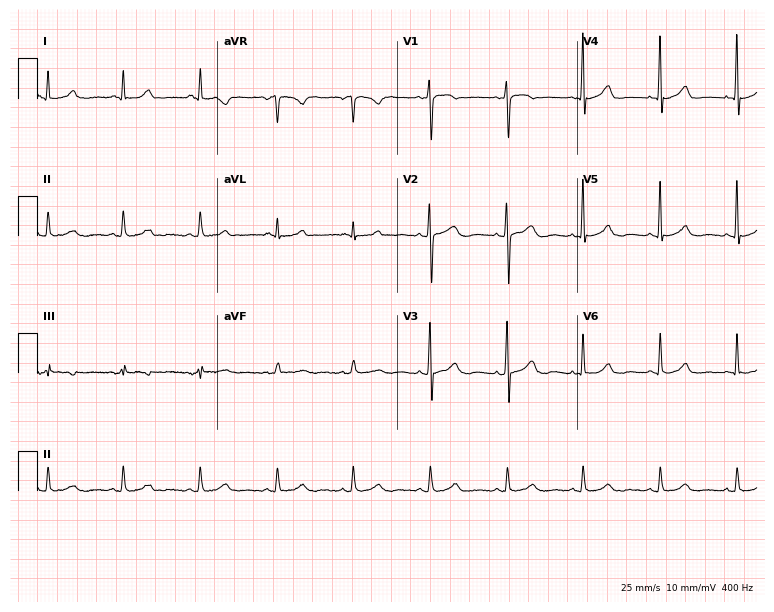
12-lead ECG from a female patient, 43 years old. Recorded interpretation: within normal limits.